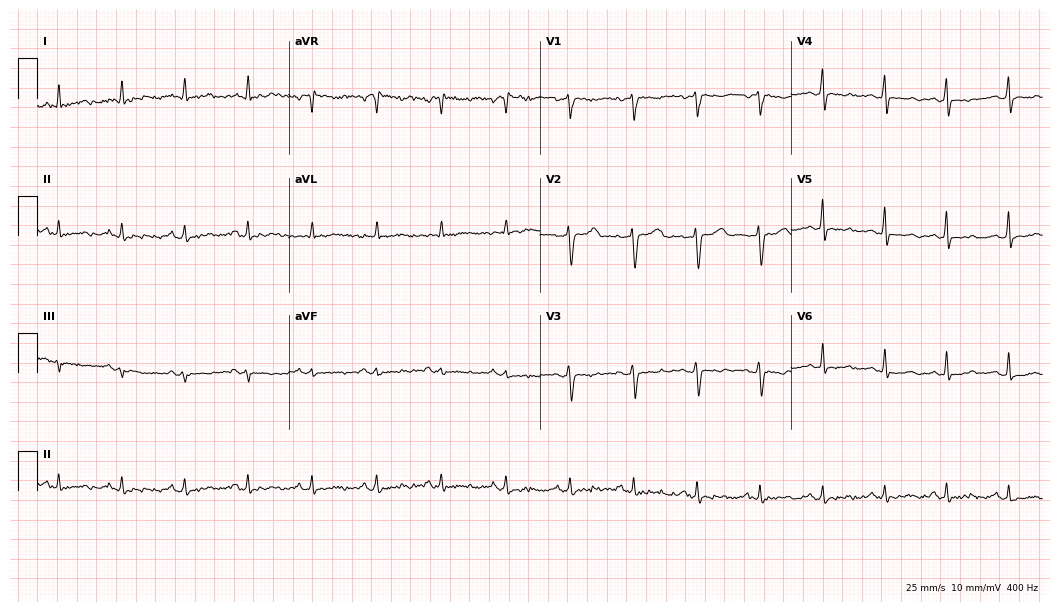
Resting 12-lead electrocardiogram. Patient: a 42-year-old female. None of these six findings is recorded: first-degree AV block, right bundle branch block, left bundle branch block, sinus bradycardia, atrial fibrillation, sinus tachycardia.